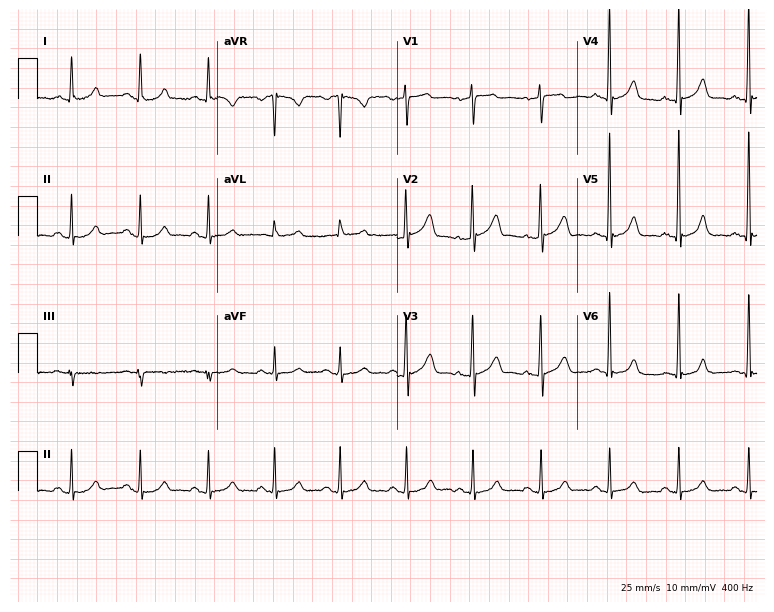
ECG — a 56-year-old man. Screened for six findings — first-degree AV block, right bundle branch block, left bundle branch block, sinus bradycardia, atrial fibrillation, sinus tachycardia — none is recorded.